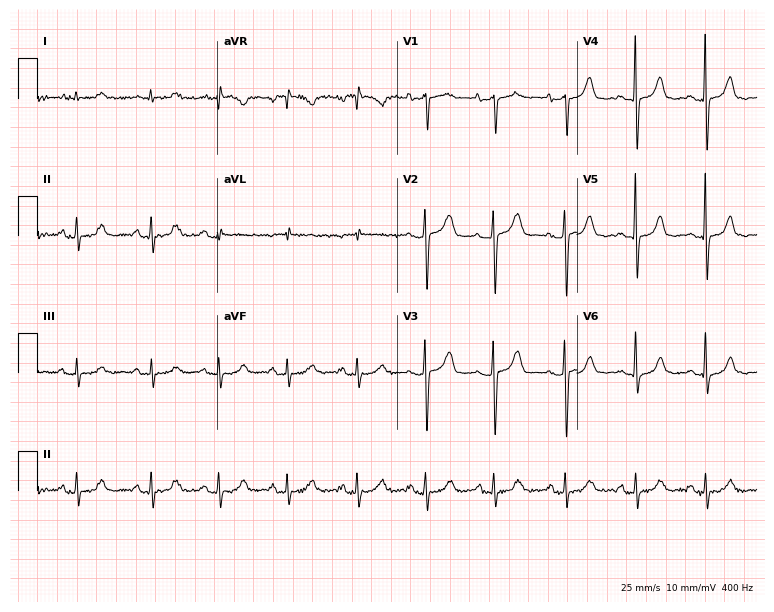
Resting 12-lead electrocardiogram. Patient: a female, 59 years old. None of these six findings is recorded: first-degree AV block, right bundle branch block (RBBB), left bundle branch block (LBBB), sinus bradycardia, atrial fibrillation (AF), sinus tachycardia.